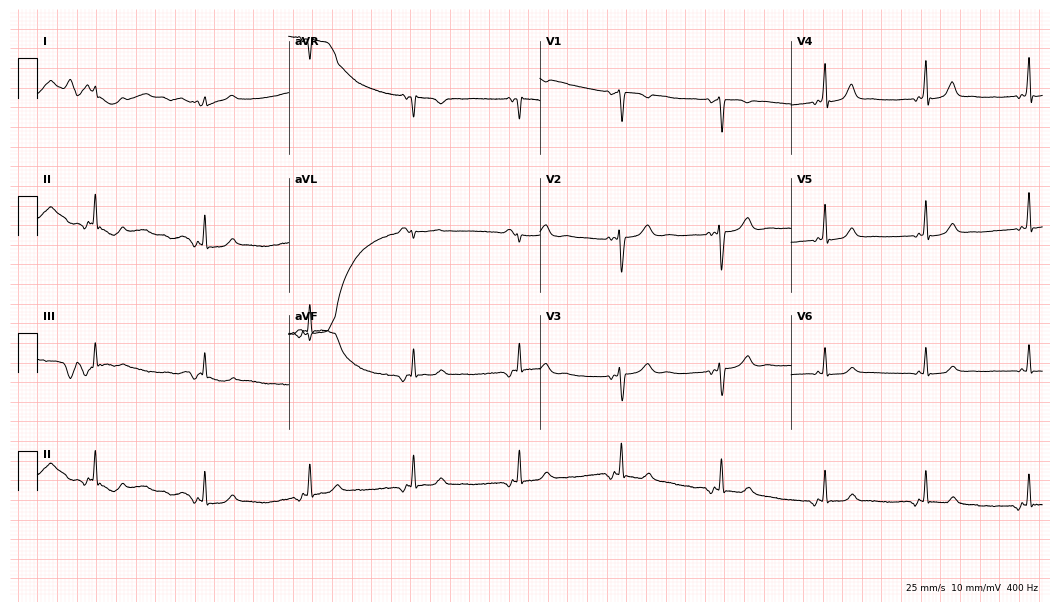
Standard 12-lead ECG recorded from a 43-year-old woman. None of these six findings is recorded: first-degree AV block, right bundle branch block, left bundle branch block, sinus bradycardia, atrial fibrillation, sinus tachycardia.